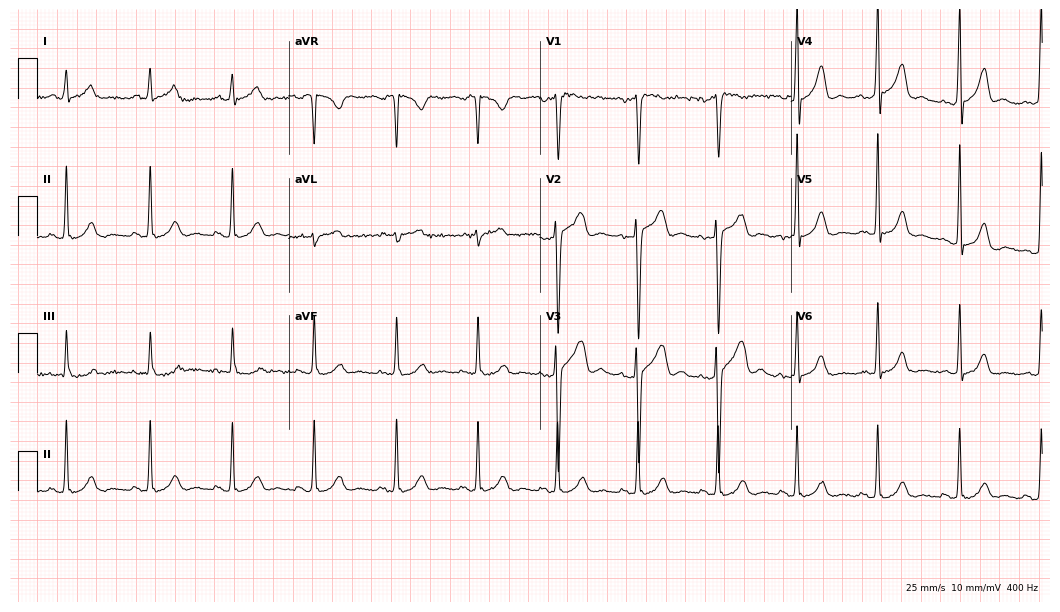
ECG — a male, 32 years old. Screened for six findings — first-degree AV block, right bundle branch block (RBBB), left bundle branch block (LBBB), sinus bradycardia, atrial fibrillation (AF), sinus tachycardia — none is recorded. Findings outside these six are not listed.